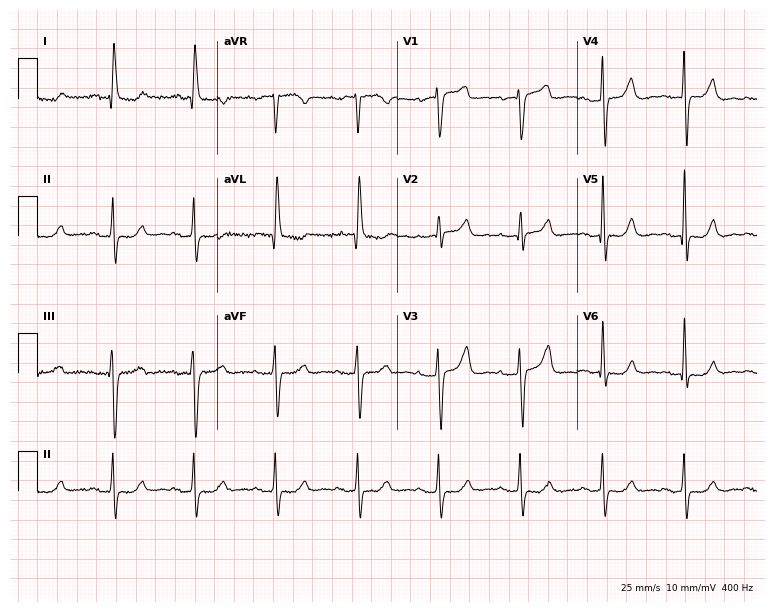
12-lead ECG from an 80-year-old woman (7.3-second recording at 400 Hz). No first-degree AV block, right bundle branch block (RBBB), left bundle branch block (LBBB), sinus bradycardia, atrial fibrillation (AF) or sinus tachycardia recorded for this tracing.